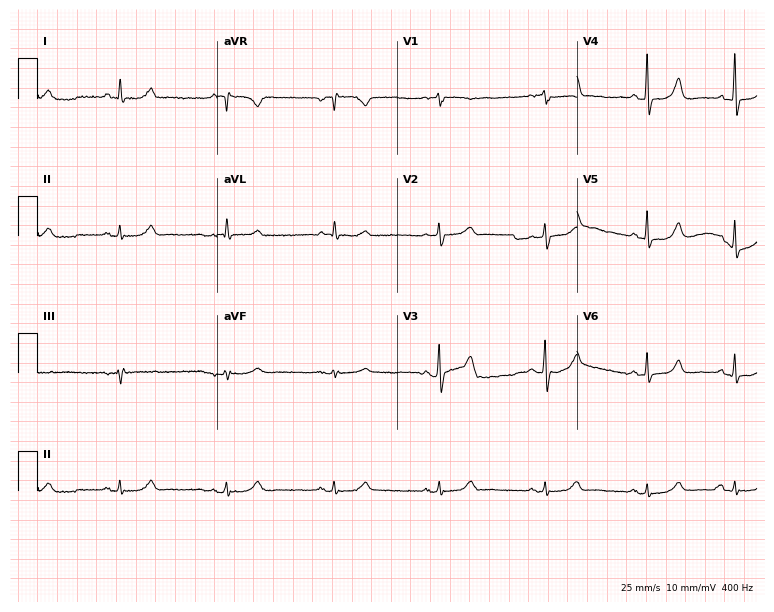
12-lead ECG from an 82-year-old male. No first-degree AV block, right bundle branch block, left bundle branch block, sinus bradycardia, atrial fibrillation or sinus tachycardia recorded for this tracing. Other findings, if any, are not listed.